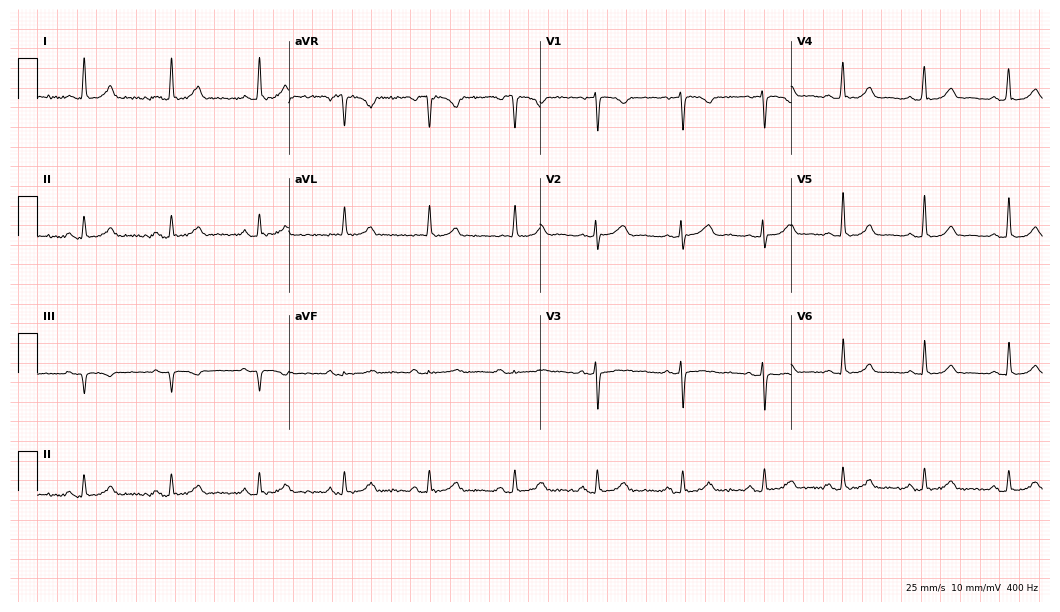
12-lead ECG from a female patient, 52 years old. Recorded interpretation: within normal limits.